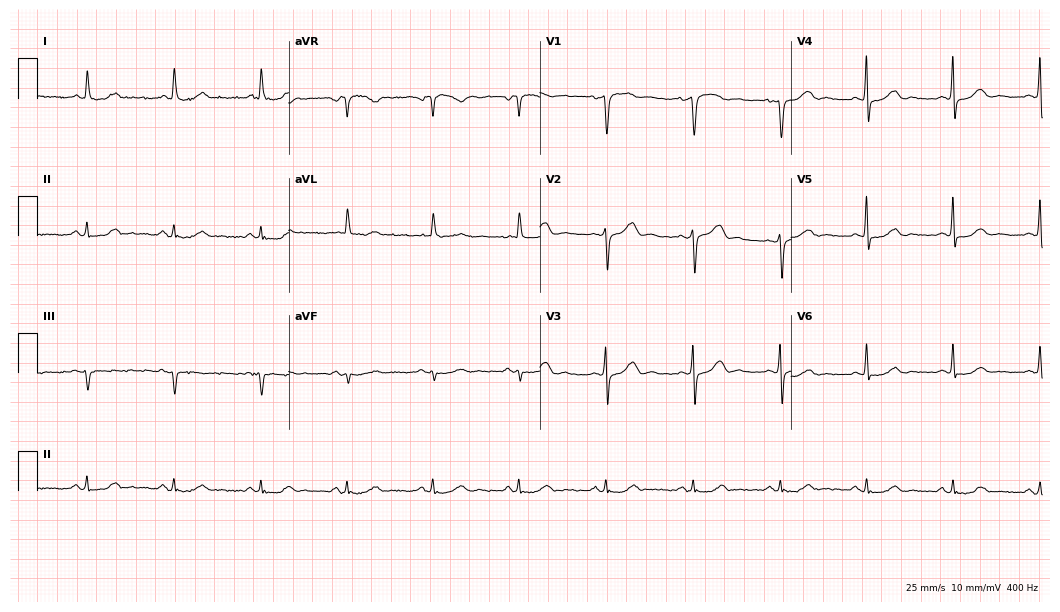
12-lead ECG (10.2-second recording at 400 Hz) from a 63-year-old female. Labelled as a normal ECG.